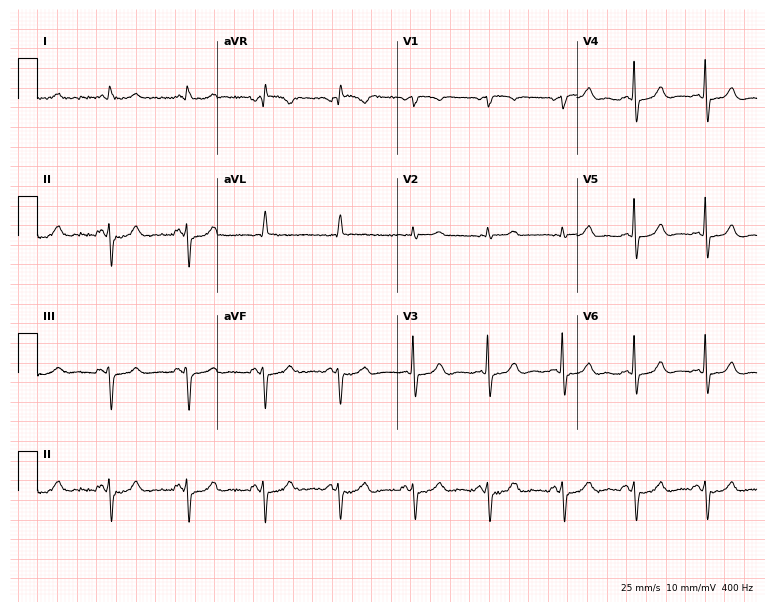
Standard 12-lead ECG recorded from a male patient, 60 years old. None of these six findings is recorded: first-degree AV block, right bundle branch block, left bundle branch block, sinus bradycardia, atrial fibrillation, sinus tachycardia. Only these six findings were labelled.